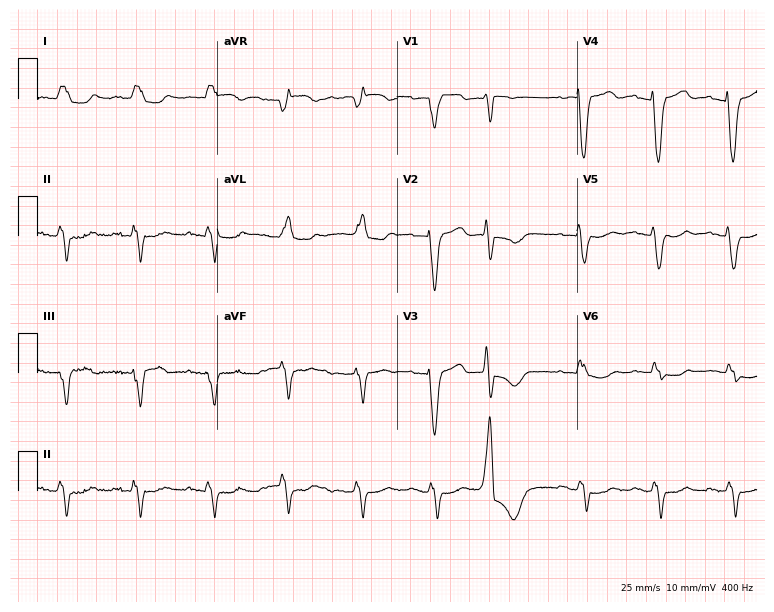
12-lead ECG from a 76-year-old man. Findings include left bundle branch block.